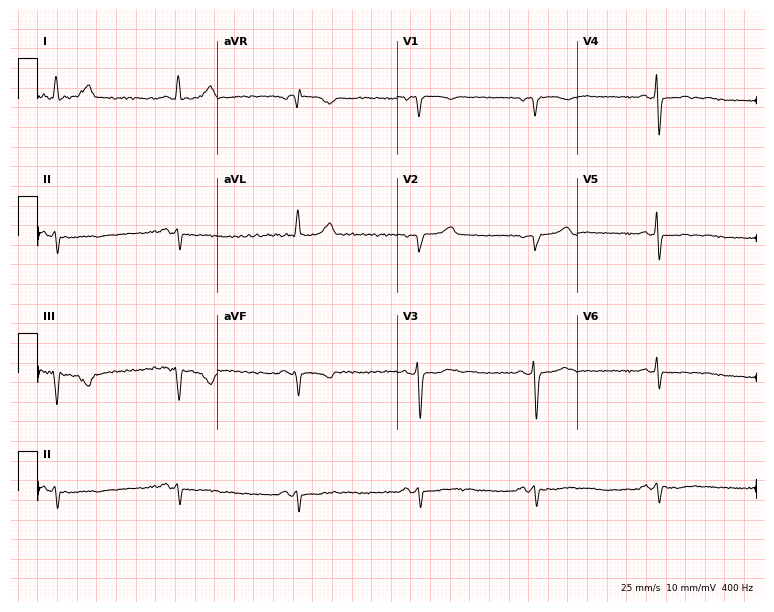
Electrocardiogram, a female patient, 71 years old. Of the six screened findings (first-degree AV block, right bundle branch block, left bundle branch block, sinus bradycardia, atrial fibrillation, sinus tachycardia), none is recorded. Only these six findings were labelled.